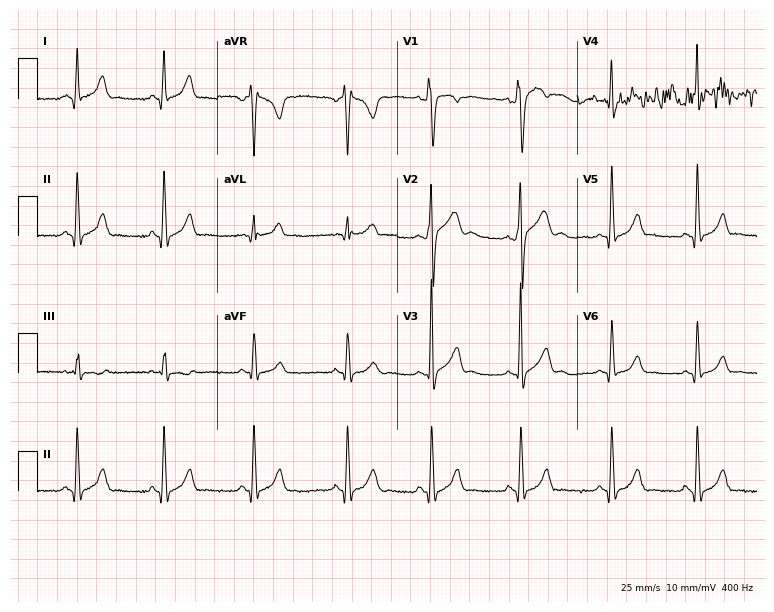
ECG — a male patient, 24 years old. Screened for six findings — first-degree AV block, right bundle branch block (RBBB), left bundle branch block (LBBB), sinus bradycardia, atrial fibrillation (AF), sinus tachycardia — none is recorded. Other findings, if any, are not listed.